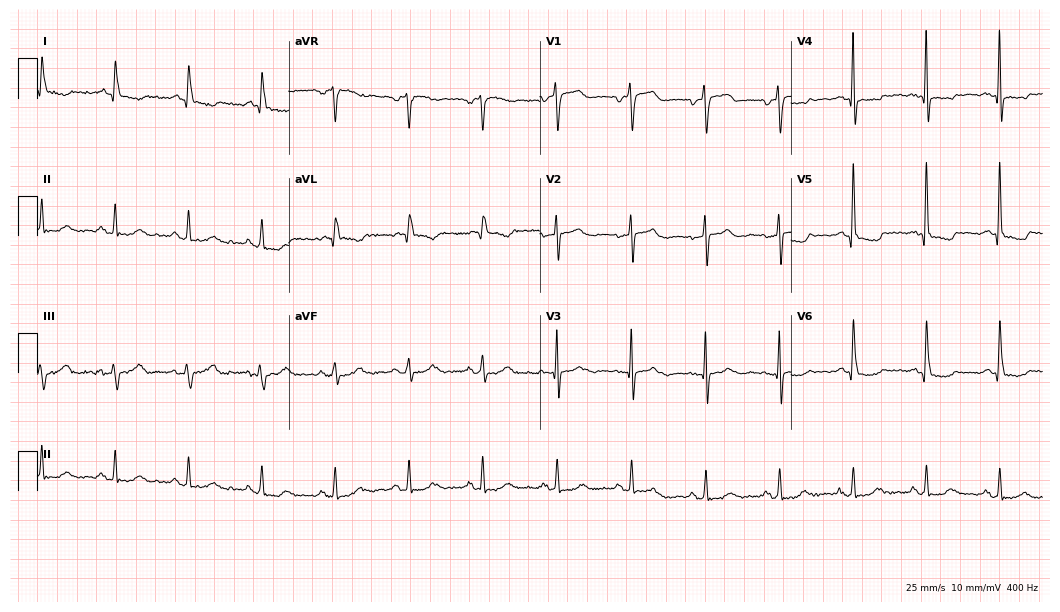
Resting 12-lead electrocardiogram. Patient: an 82-year-old man. None of these six findings is recorded: first-degree AV block, right bundle branch block, left bundle branch block, sinus bradycardia, atrial fibrillation, sinus tachycardia. Findings outside these six are not listed.